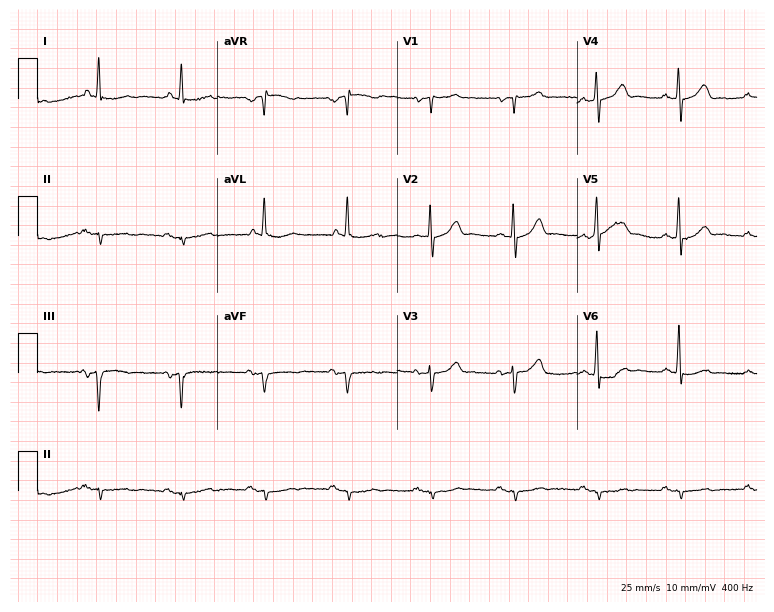
12-lead ECG from a male, 72 years old. No first-degree AV block, right bundle branch block (RBBB), left bundle branch block (LBBB), sinus bradycardia, atrial fibrillation (AF) or sinus tachycardia recorded for this tracing.